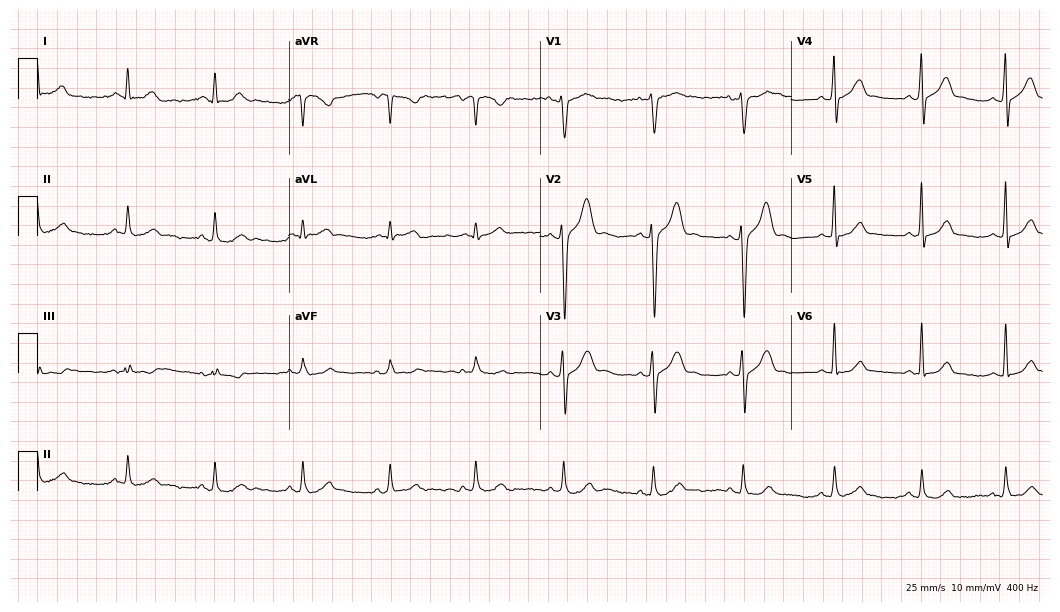
Electrocardiogram (10.2-second recording at 400 Hz), a man, 36 years old. Overall reading on record: normal ECG.